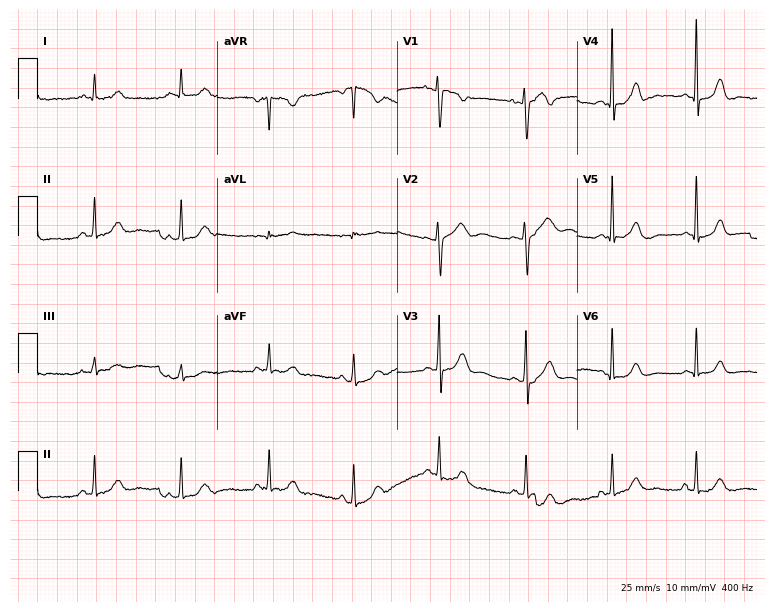
Resting 12-lead electrocardiogram (7.3-second recording at 400 Hz). Patient: a 50-year-old female. Read as a normal ECG.